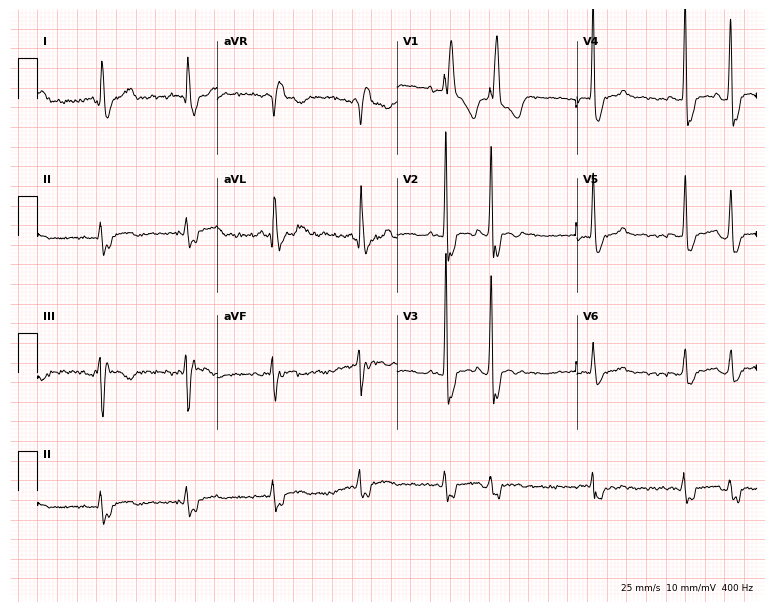
ECG — a 78-year-old male. Findings include right bundle branch block.